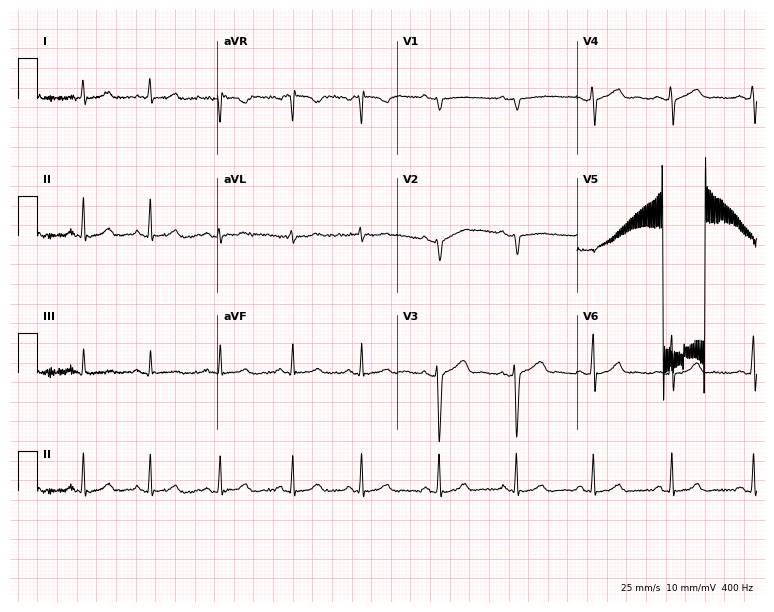
12-lead ECG from a 19-year-old female patient. Screened for six findings — first-degree AV block, right bundle branch block, left bundle branch block, sinus bradycardia, atrial fibrillation, sinus tachycardia — none is recorded. Other findings, if any, are not listed.